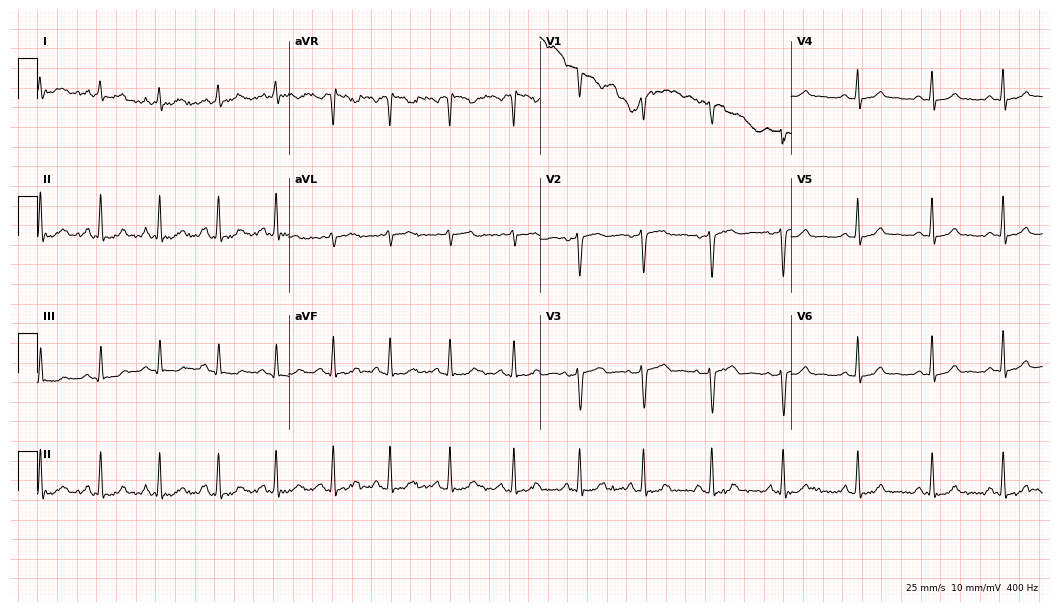
Standard 12-lead ECG recorded from a 29-year-old female patient. Read as a normal ECG.